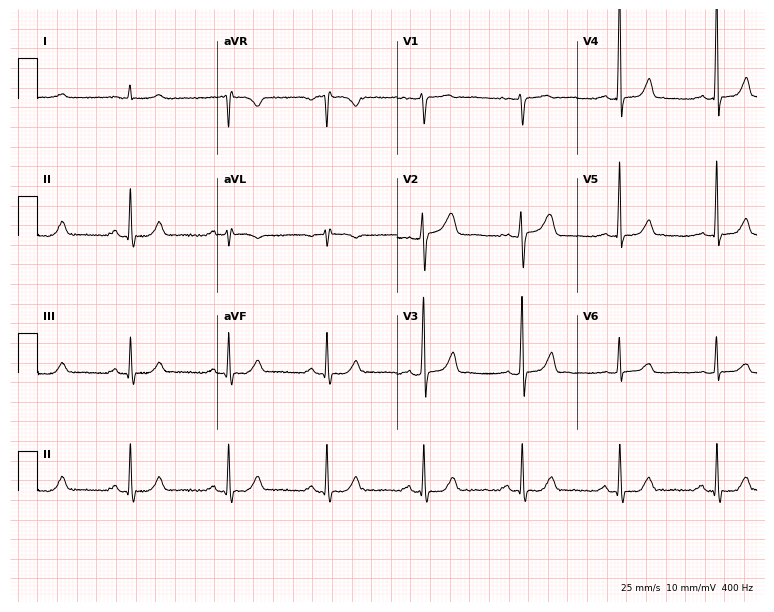
Standard 12-lead ECG recorded from a 65-year-old female. None of these six findings is recorded: first-degree AV block, right bundle branch block, left bundle branch block, sinus bradycardia, atrial fibrillation, sinus tachycardia. Other findings, if any, are not listed.